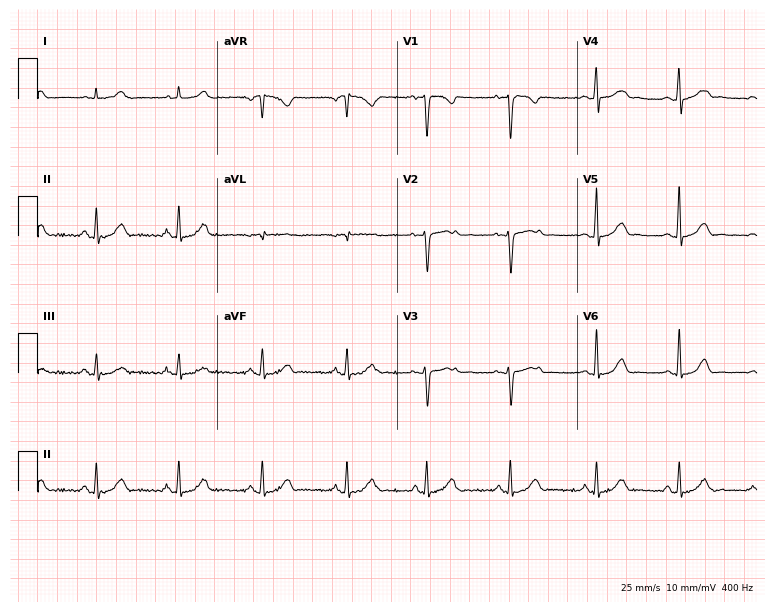
12-lead ECG from a female, 27 years old (7.3-second recording at 400 Hz). Recorded interpretation: within normal limits.